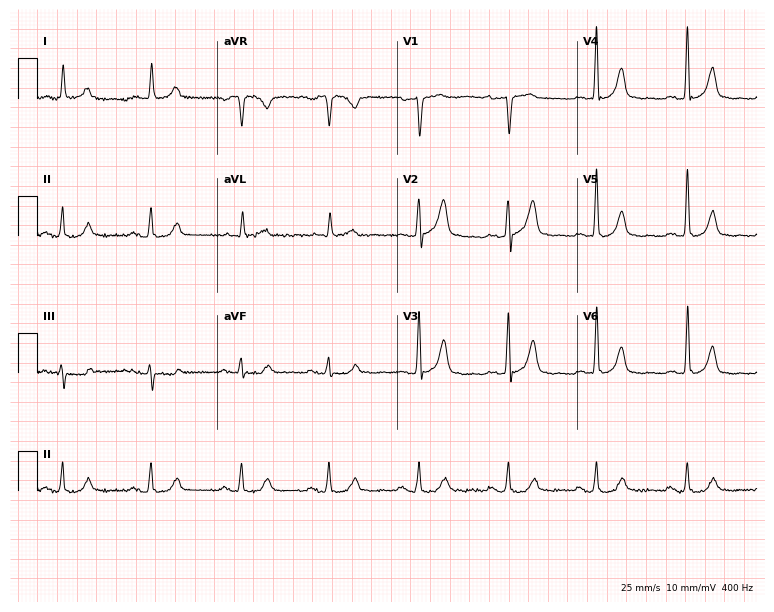
Resting 12-lead electrocardiogram. Patient: a 79-year-old man. None of these six findings is recorded: first-degree AV block, right bundle branch block (RBBB), left bundle branch block (LBBB), sinus bradycardia, atrial fibrillation (AF), sinus tachycardia. Findings outside these six are not listed.